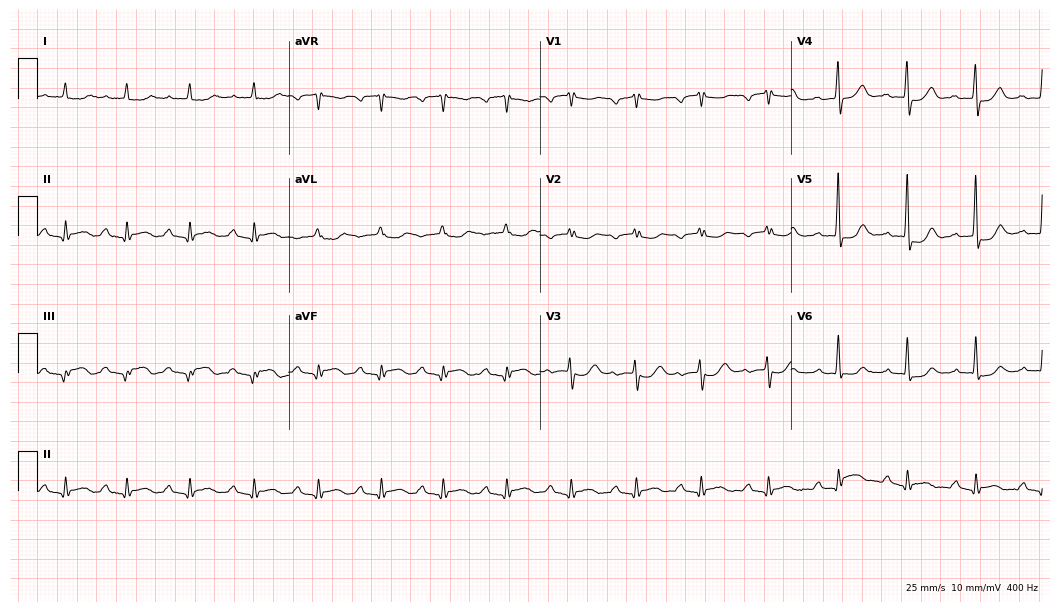
Resting 12-lead electrocardiogram (10.2-second recording at 400 Hz). Patient: a 66-year-old man. The tracing shows first-degree AV block.